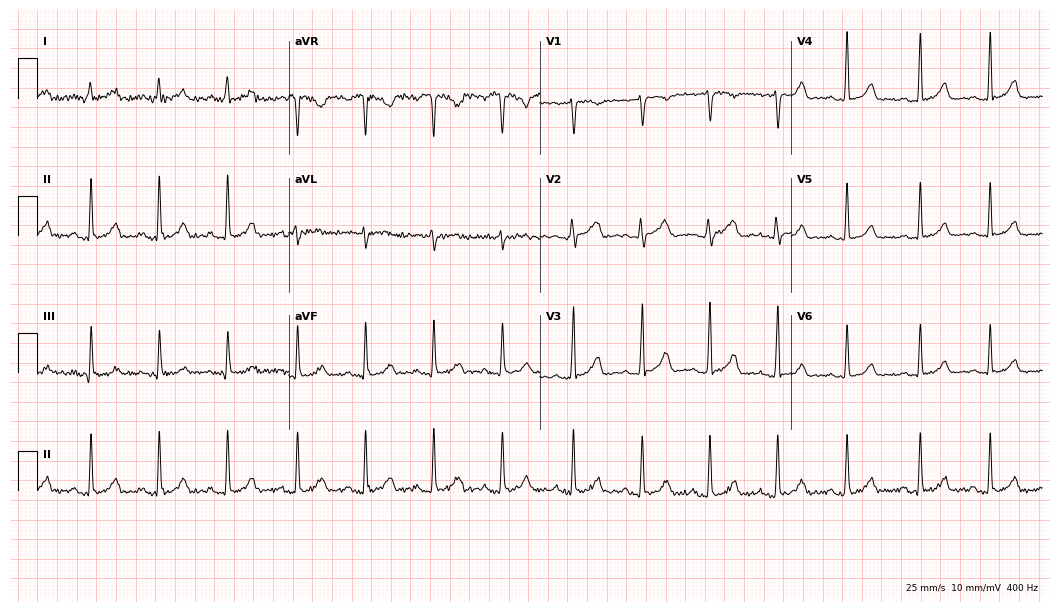
Electrocardiogram, a 29-year-old female patient. Of the six screened findings (first-degree AV block, right bundle branch block, left bundle branch block, sinus bradycardia, atrial fibrillation, sinus tachycardia), none is recorded.